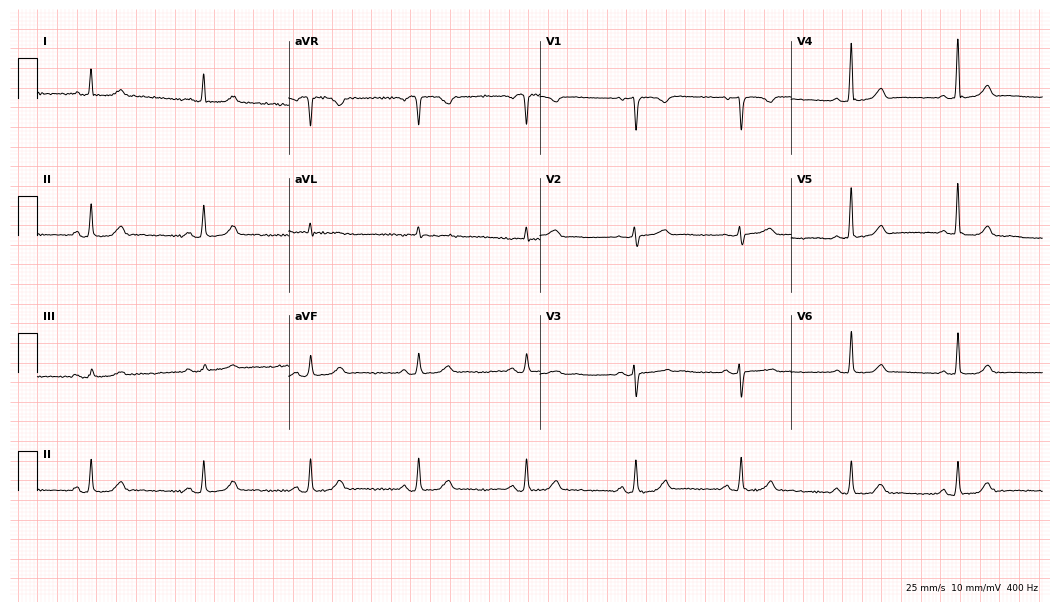
Electrocardiogram, a female, 38 years old. Overall reading on record: normal ECG.